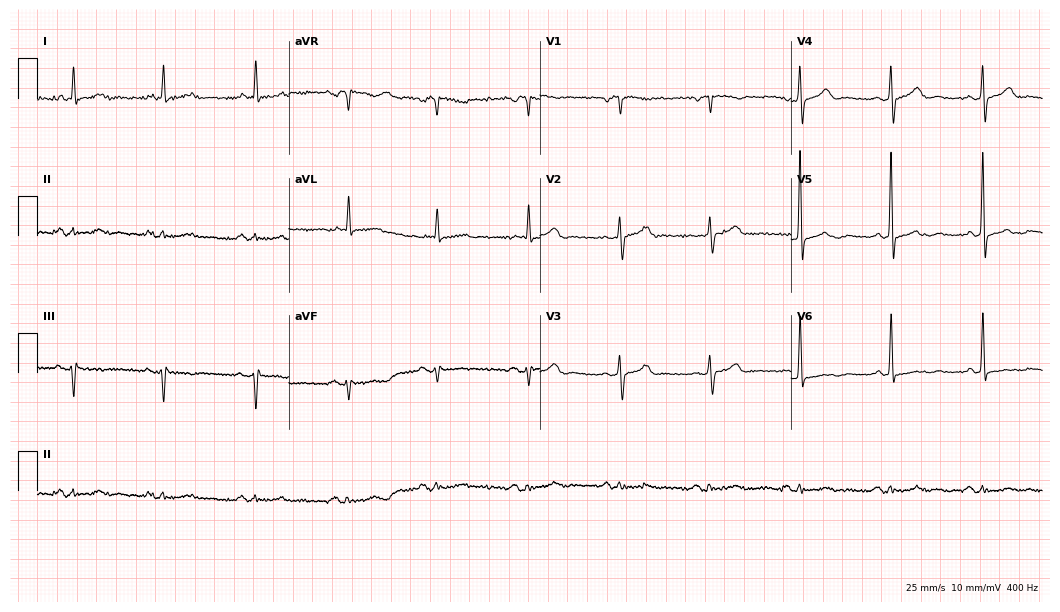
Resting 12-lead electrocardiogram. Patient: a man, 76 years old. None of these six findings is recorded: first-degree AV block, right bundle branch block, left bundle branch block, sinus bradycardia, atrial fibrillation, sinus tachycardia.